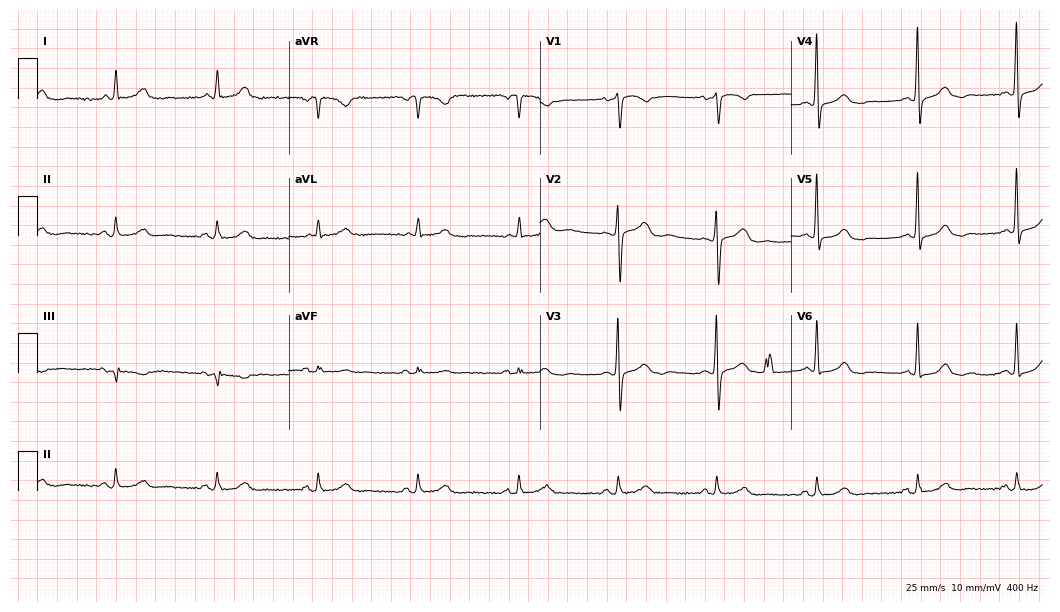
ECG (10.2-second recording at 400 Hz) — a 61-year-old woman. Screened for six findings — first-degree AV block, right bundle branch block, left bundle branch block, sinus bradycardia, atrial fibrillation, sinus tachycardia — none is recorded. Other findings, if any, are not listed.